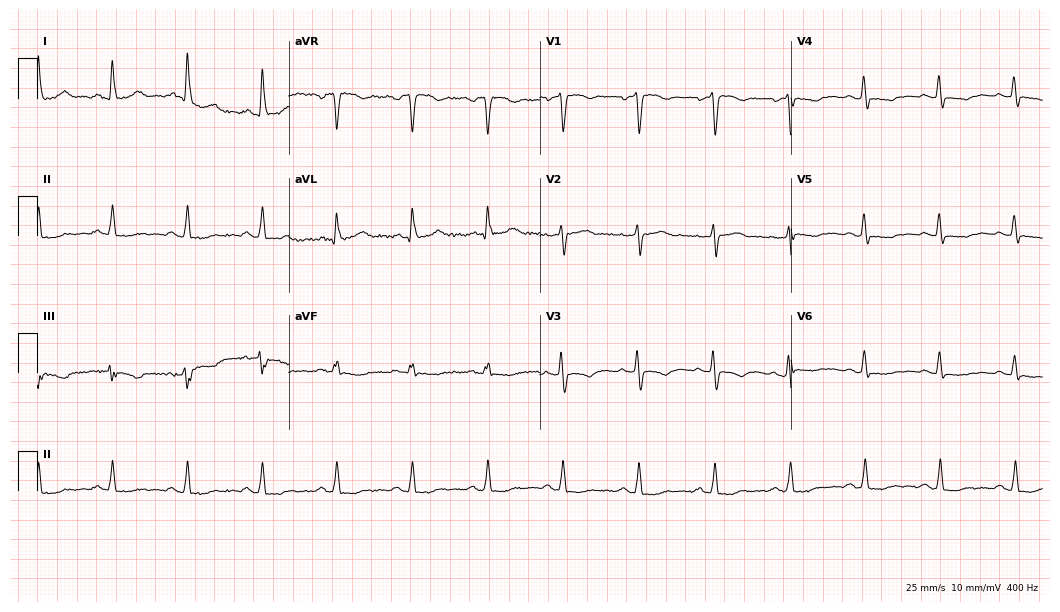
Standard 12-lead ECG recorded from a 60-year-old female (10.2-second recording at 400 Hz). None of these six findings is recorded: first-degree AV block, right bundle branch block, left bundle branch block, sinus bradycardia, atrial fibrillation, sinus tachycardia. Findings outside these six are not listed.